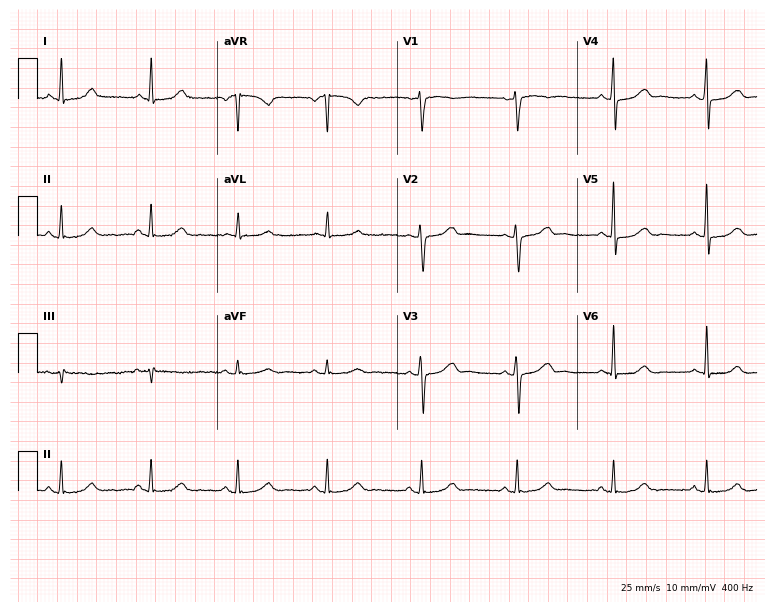
12-lead ECG (7.3-second recording at 400 Hz) from a 62-year-old woman. Labelled as a normal ECG.